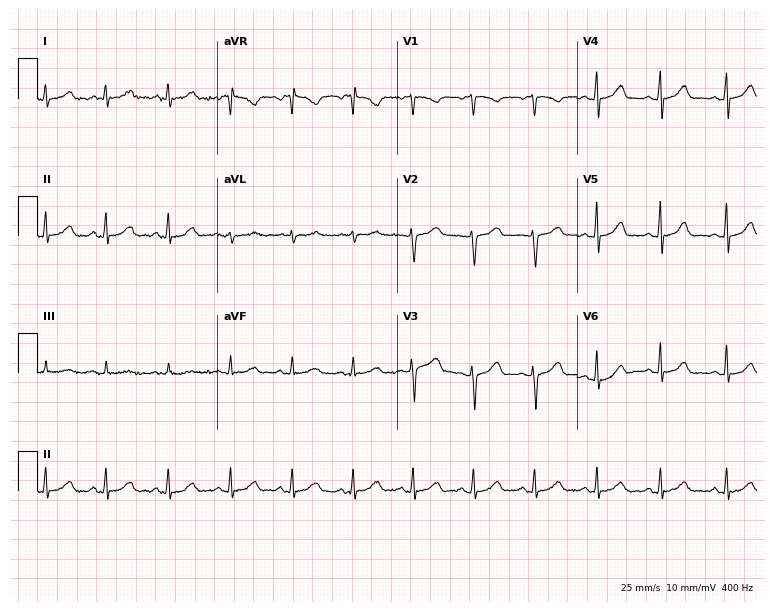
ECG — a female, 36 years old. Labelled as a normal ECG.